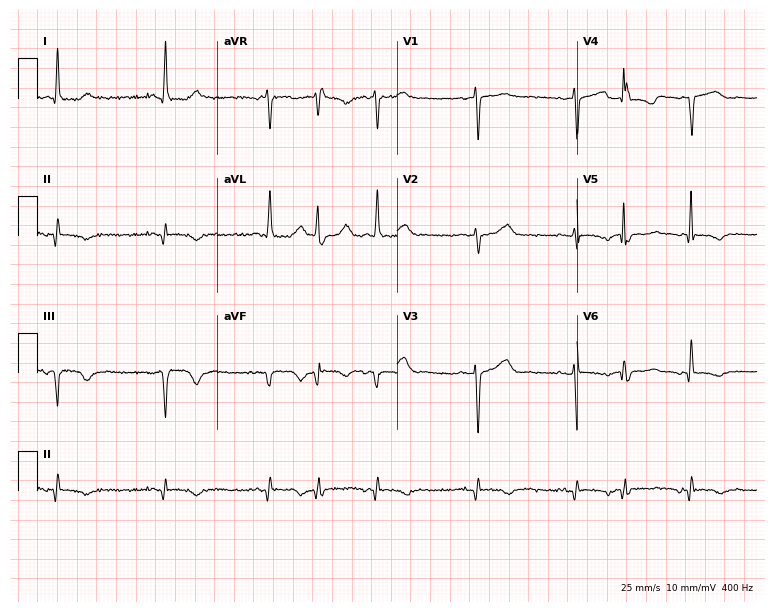
Electrocardiogram (7.3-second recording at 400 Hz), a female patient, 66 years old. Of the six screened findings (first-degree AV block, right bundle branch block, left bundle branch block, sinus bradycardia, atrial fibrillation, sinus tachycardia), none is recorded. Other findings, if any, are not listed.